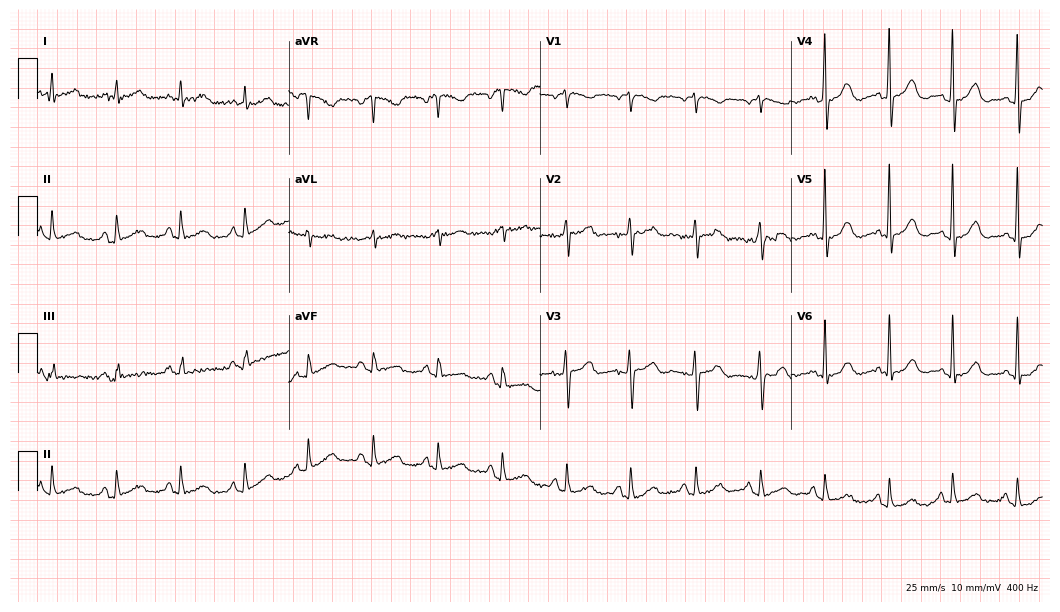
Standard 12-lead ECG recorded from a woman, 78 years old. Read as a normal ECG.